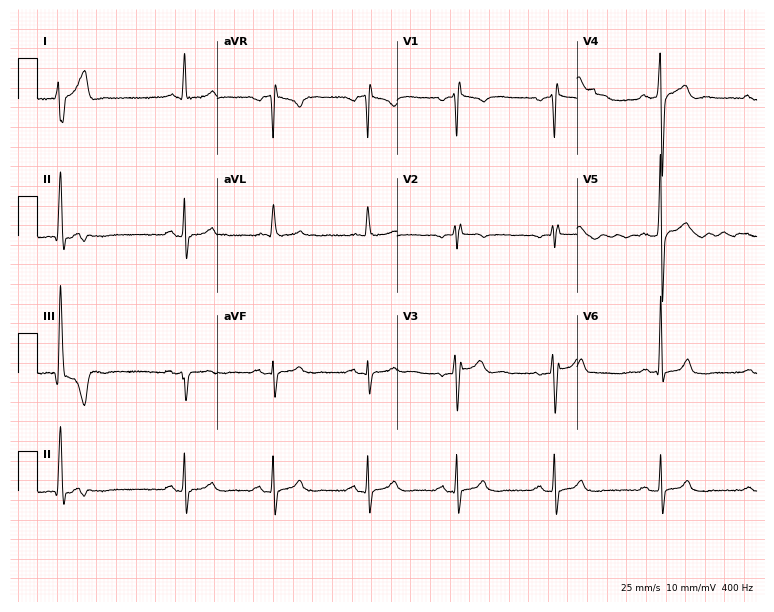
12-lead ECG from a 31-year-old man (7.3-second recording at 400 Hz). No first-degree AV block, right bundle branch block, left bundle branch block, sinus bradycardia, atrial fibrillation or sinus tachycardia recorded for this tracing.